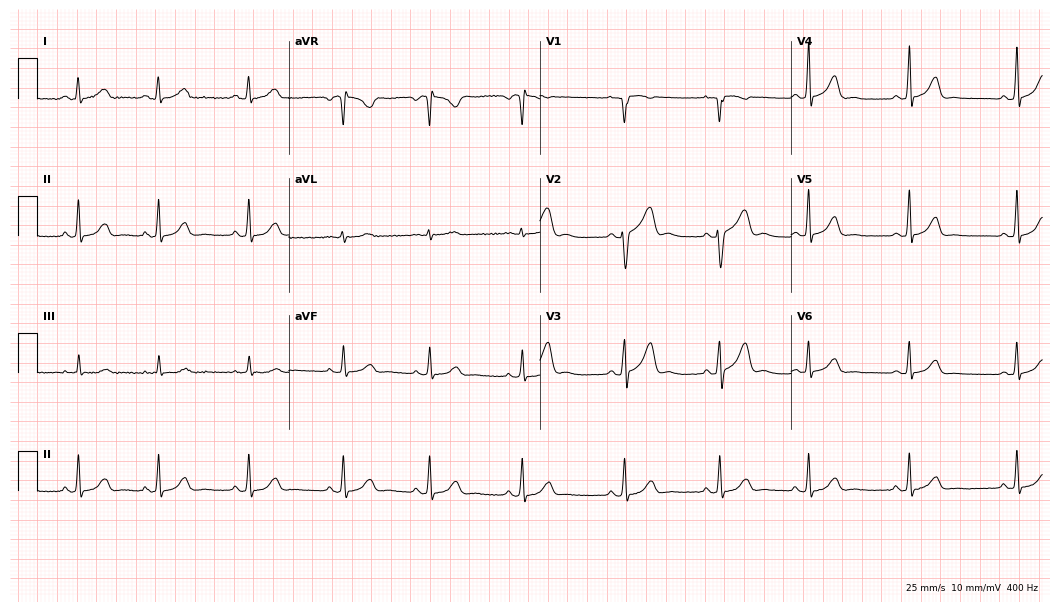
ECG (10.2-second recording at 400 Hz) — a woman, 36 years old. Labelled as a normal ECG.